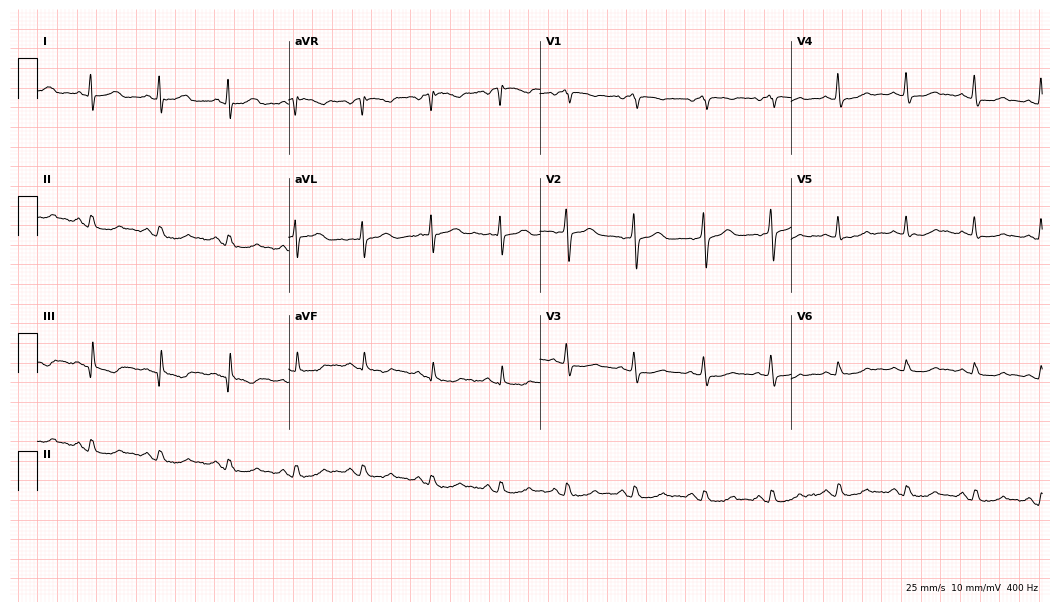
ECG — a woman, 60 years old. Screened for six findings — first-degree AV block, right bundle branch block, left bundle branch block, sinus bradycardia, atrial fibrillation, sinus tachycardia — none is recorded. Only these six findings were labelled.